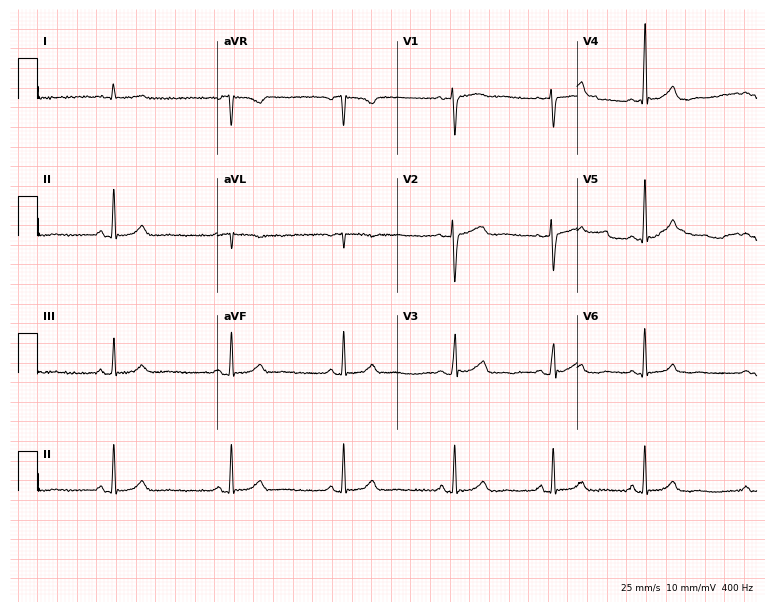
Standard 12-lead ECG recorded from a female, 32 years old (7.3-second recording at 400 Hz). Read as a normal ECG.